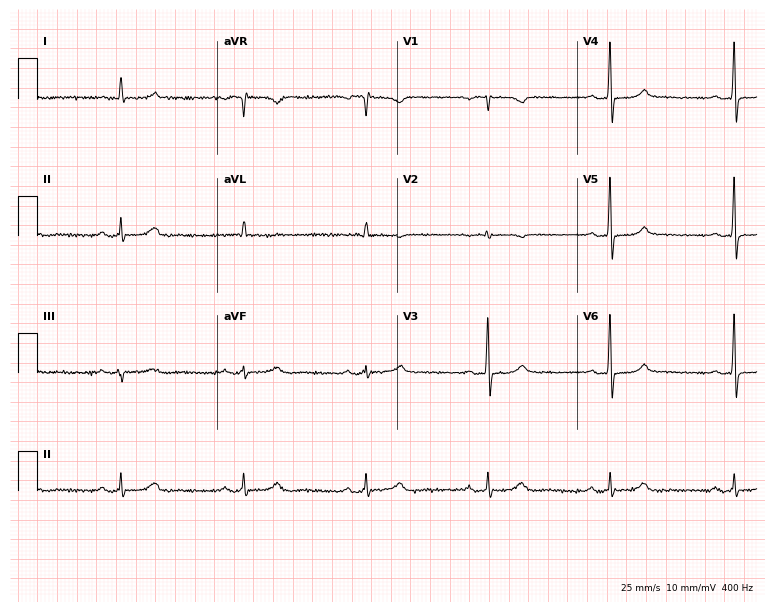
12-lead ECG from a 58-year-old male (7.3-second recording at 400 Hz). No first-degree AV block, right bundle branch block (RBBB), left bundle branch block (LBBB), sinus bradycardia, atrial fibrillation (AF) or sinus tachycardia recorded for this tracing. Findings outside these six are not listed.